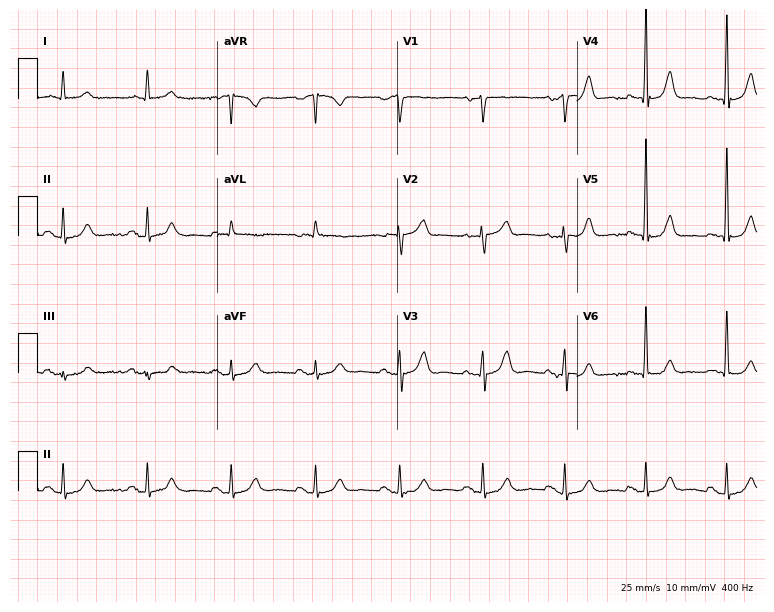
Resting 12-lead electrocardiogram (7.3-second recording at 400 Hz). Patient: an 81-year-old male. Read as a normal ECG.